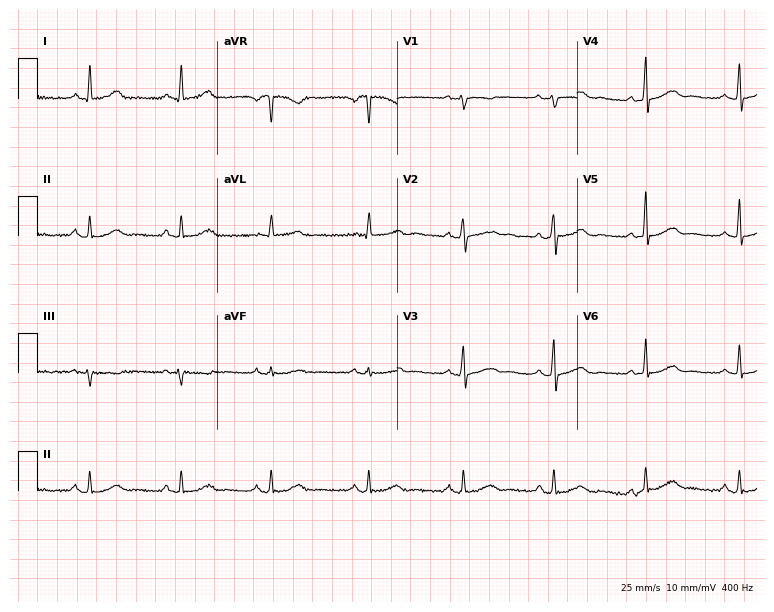
Resting 12-lead electrocardiogram (7.3-second recording at 400 Hz). Patient: a 54-year-old female. None of these six findings is recorded: first-degree AV block, right bundle branch block, left bundle branch block, sinus bradycardia, atrial fibrillation, sinus tachycardia.